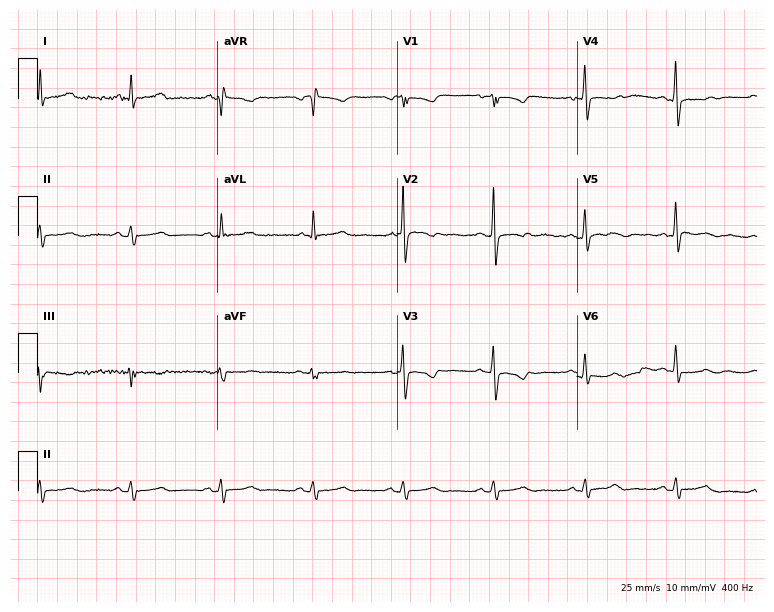
ECG (7.3-second recording at 400 Hz) — a 60-year-old female patient. Screened for six findings — first-degree AV block, right bundle branch block (RBBB), left bundle branch block (LBBB), sinus bradycardia, atrial fibrillation (AF), sinus tachycardia — none is recorded. Only these six findings were labelled.